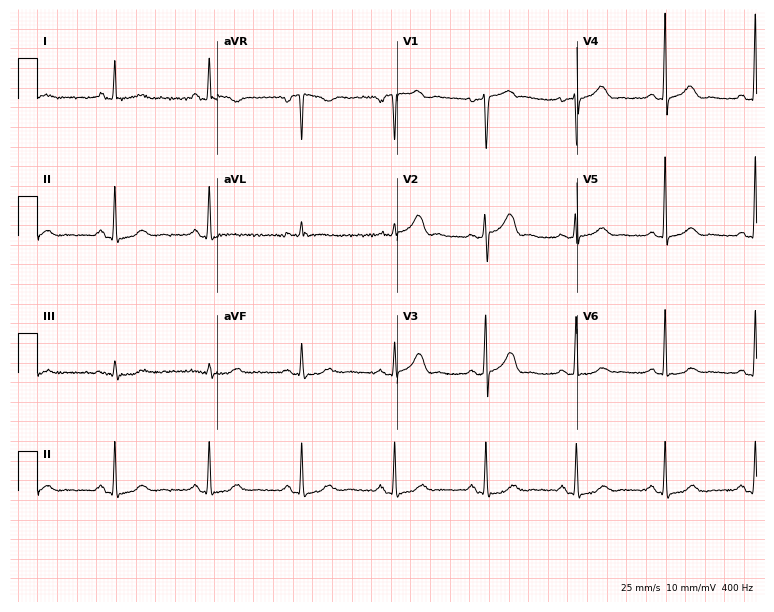
Electrocardiogram, a female patient, 68 years old. Overall reading on record: normal ECG.